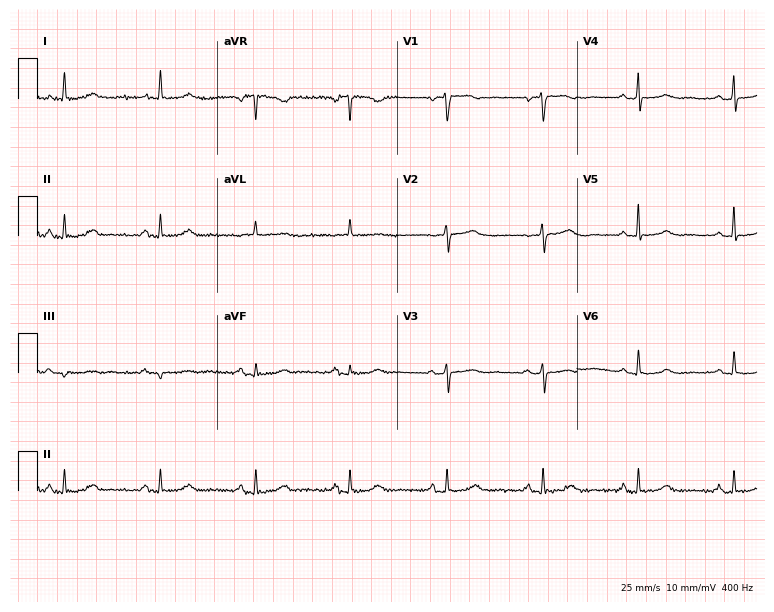
Standard 12-lead ECG recorded from a 74-year-old woman (7.3-second recording at 400 Hz). Read as a normal ECG.